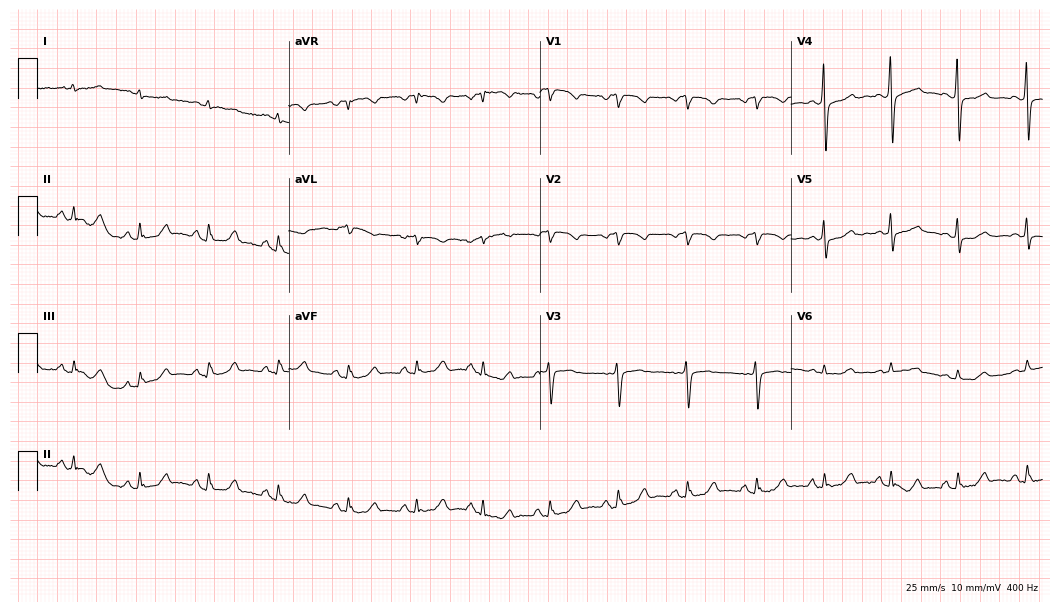
12-lead ECG from a 54-year-old woman (10.2-second recording at 400 Hz). No first-degree AV block, right bundle branch block (RBBB), left bundle branch block (LBBB), sinus bradycardia, atrial fibrillation (AF) or sinus tachycardia recorded for this tracing. Only these six findings were labelled.